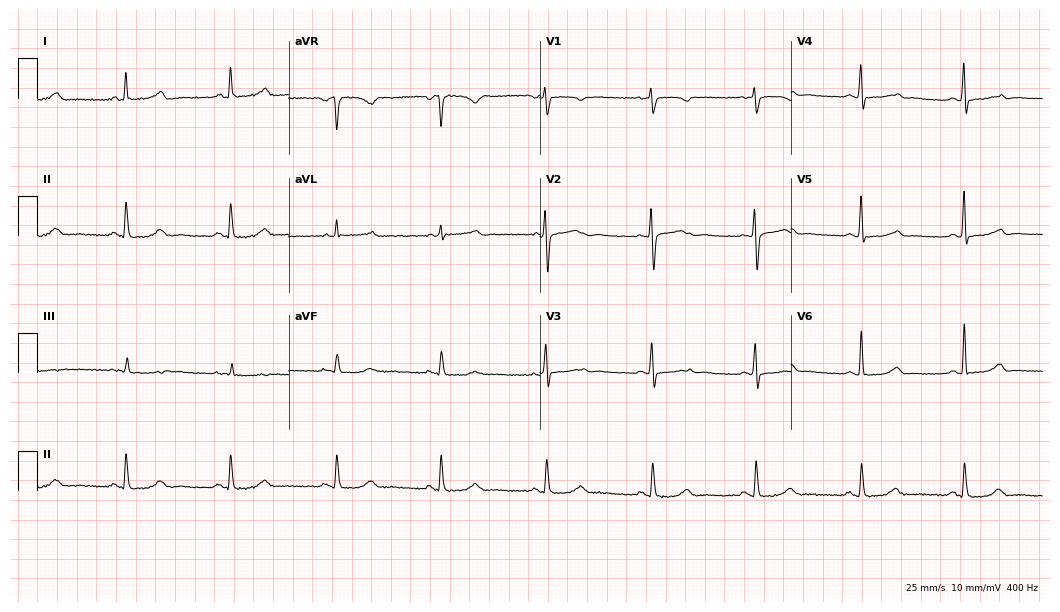
Standard 12-lead ECG recorded from a woman, 56 years old (10.2-second recording at 400 Hz). Read as a normal ECG.